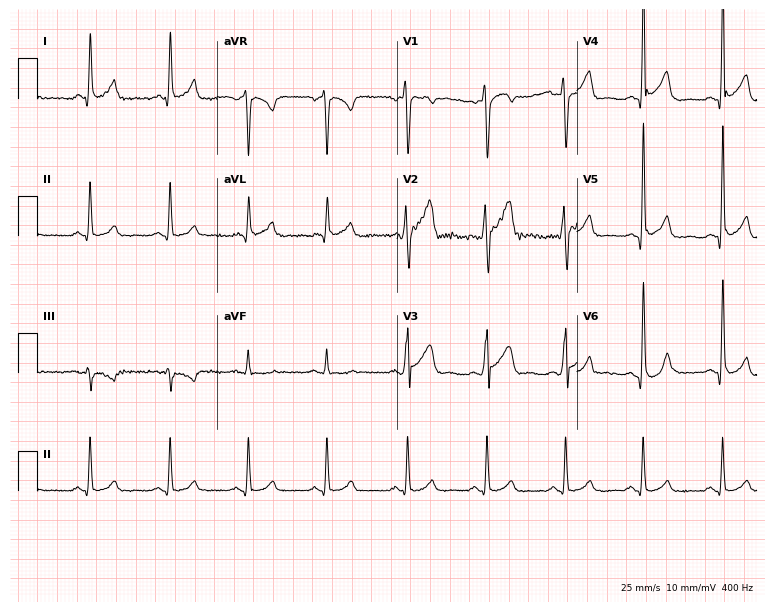
Standard 12-lead ECG recorded from a 53-year-old male patient. Read as a normal ECG.